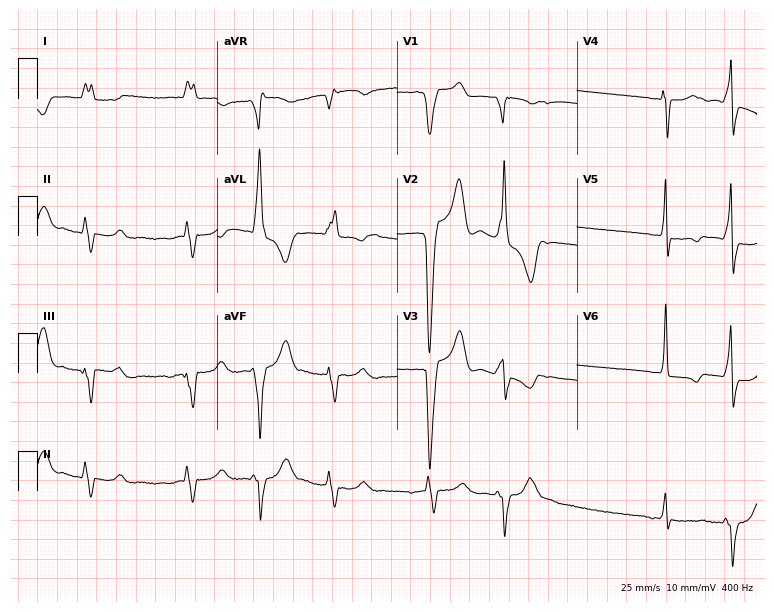
12-lead ECG from a 71-year-old female patient. Shows left bundle branch block.